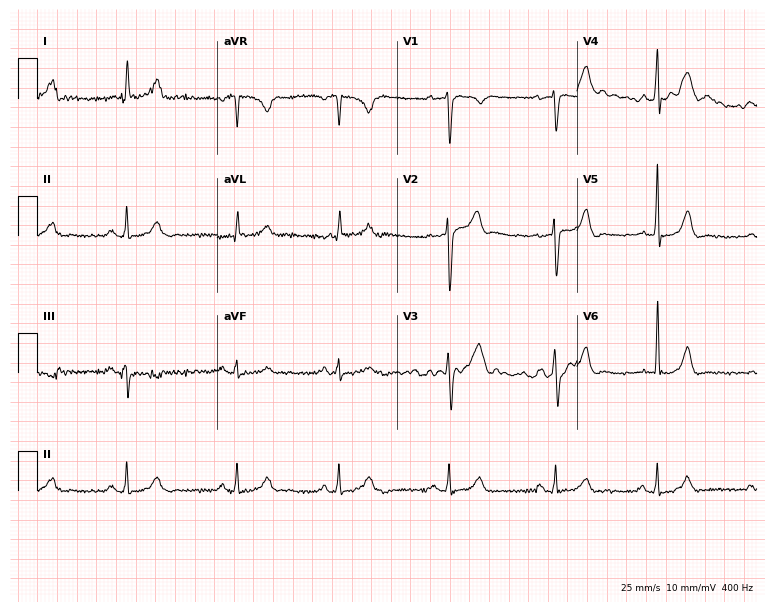
Resting 12-lead electrocardiogram. Patient: a 40-year-old man. None of these six findings is recorded: first-degree AV block, right bundle branch block, left bundle branch block, sinus bradycardia, atrial fibrillation, sinus tachycardia.